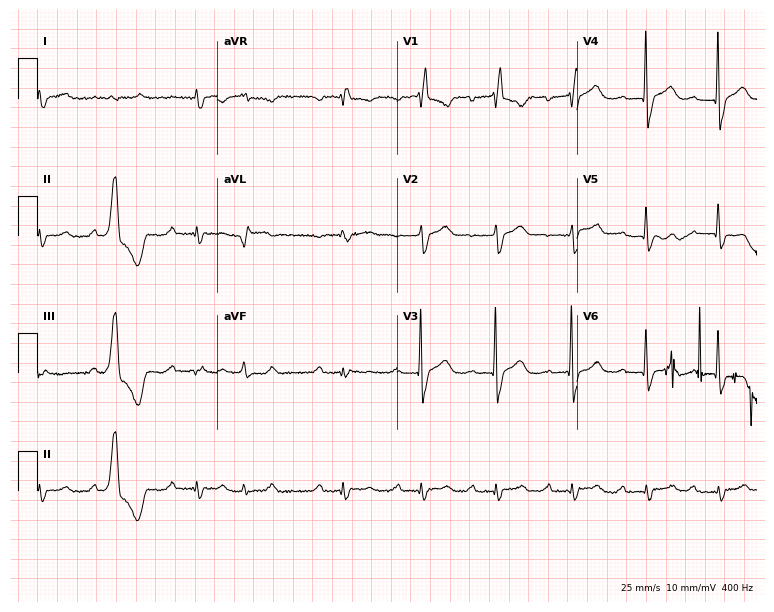
ECG — a 67-year-old male. Findings include first-degree AV block, right bundle branch block.